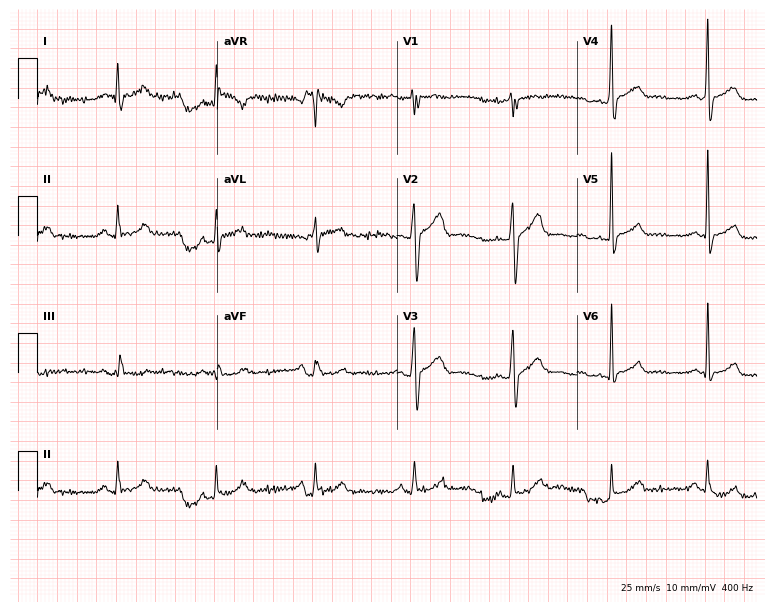
Resting 12-lead electrocardiogram. Patient: a 31-year-old male. Read as a normal ECG.